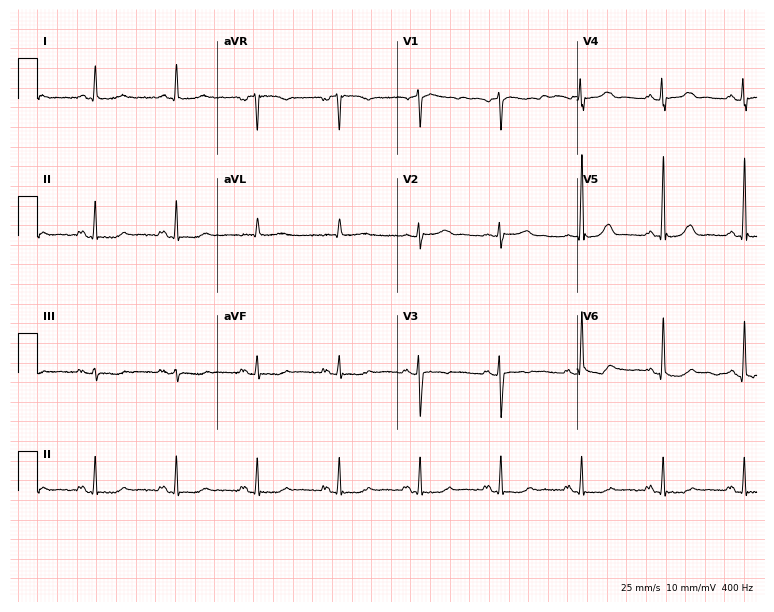
Resting 12-lead electrocardiogram. Patient: a 65-year-old female. None of these six findings is recorded: first-degree AV block, right bundle branch block, left bundle branch block, sinus bradycardia, atrial fibrillation, sinus tachycardia. Other findings, if any, are not listed.